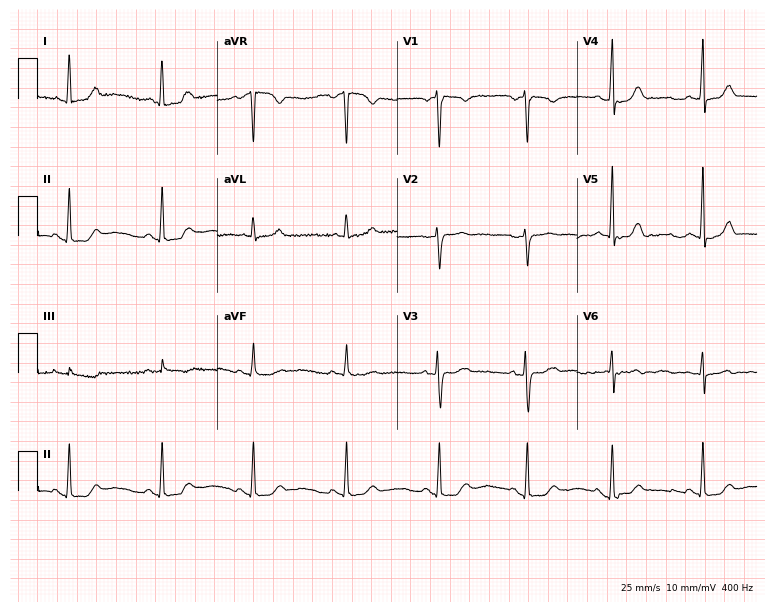
Standard 12-lead ECG recorded from a woman, 44 years old (7.3-second recording at 400 Hz). Read as a normal ECG.